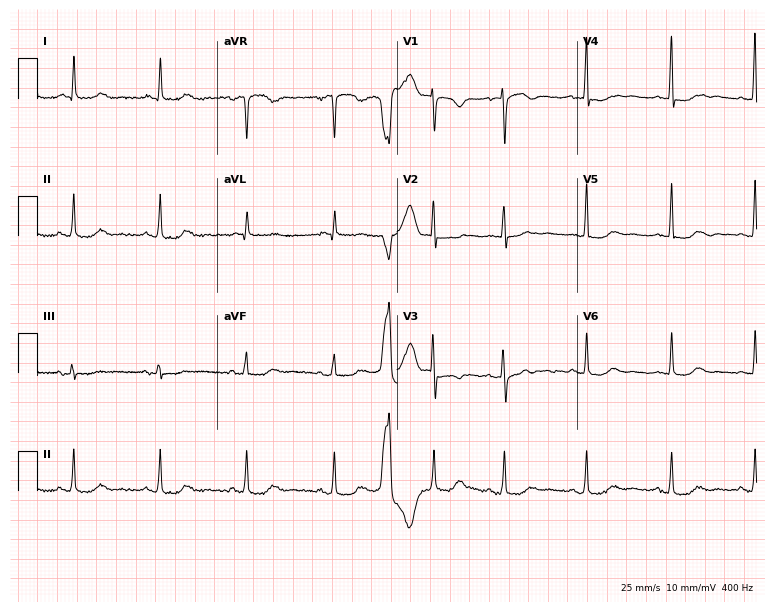
Standard 12-lead ECG recorded from a 59-year-old female patient (7.3-second recording at 400 Hz). None of these six findings is recorded: first-degree AV block, right bundle branch block, left bundle branch block, sinus bradycardia, atrial fibrillation, sinus tachycardia.